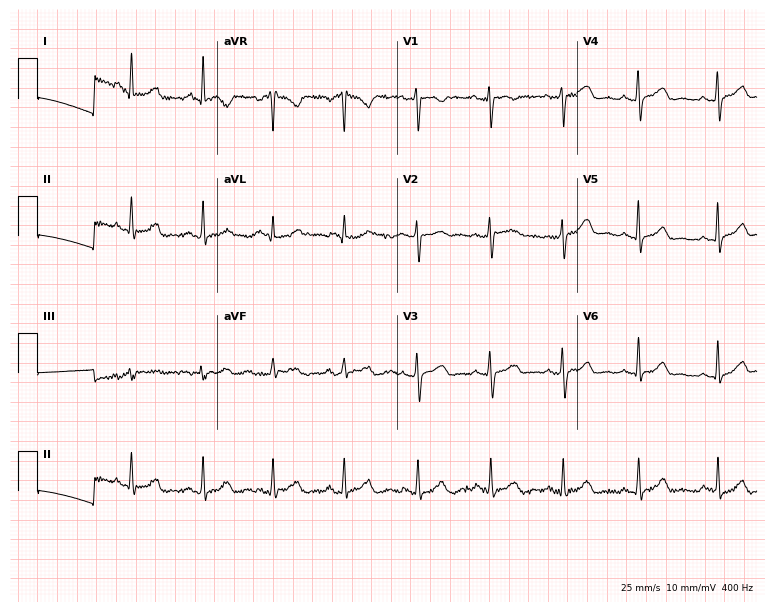
Standard 12-lead ECG recorded from a 47-year-old female (7.3-second recording at 400 Hz). Read as a normal ECG.